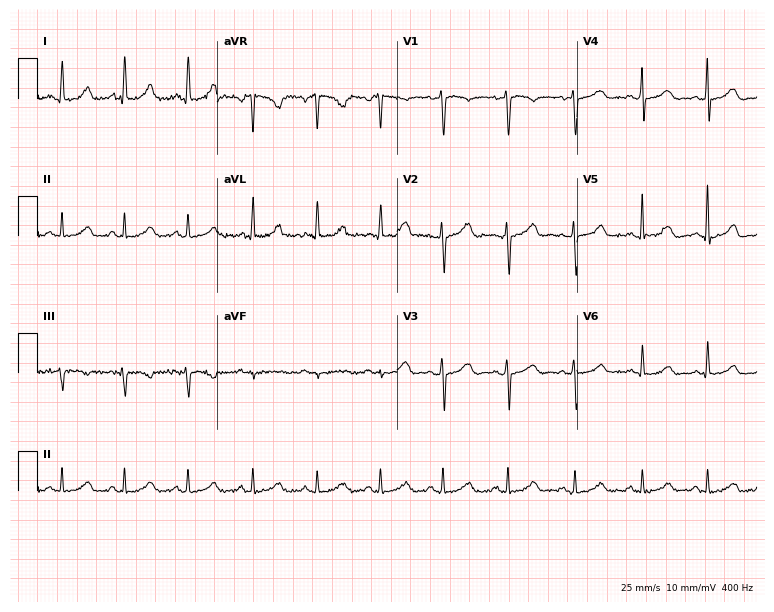
Resting 12-lead electrocardiogram. Patient: a 53-year-old male. None of these six findings is recorded: first-degree AV block, right bundle branch block (RBBB), left bundle branch block (LBBB), sinus bradycardia, atrial fibrillation (AF), sinus tachycardia.